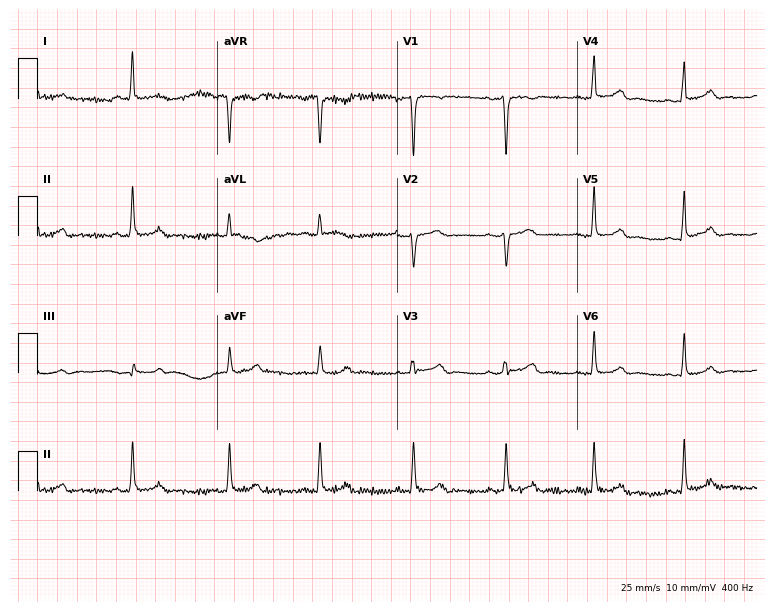
Resting 12-lead electrocardiogram (7.3-second recording at 400 Hz). Patient: a 29-year-old woman. Read as a normal ECG.